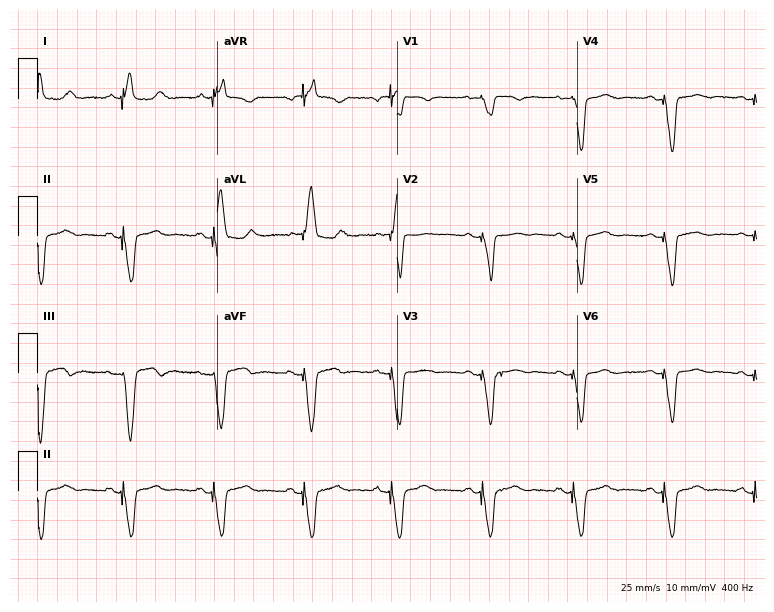
Standard 12-lead ECG recorded from a male patient, 85 years old (7.3-second recording at 400 Hz). None of these six findings is recorded: first-degree AV block, right bundle branch block, left bundle branch block, sinus bradycardia, atrial fibrillation, sinus tachycardia.